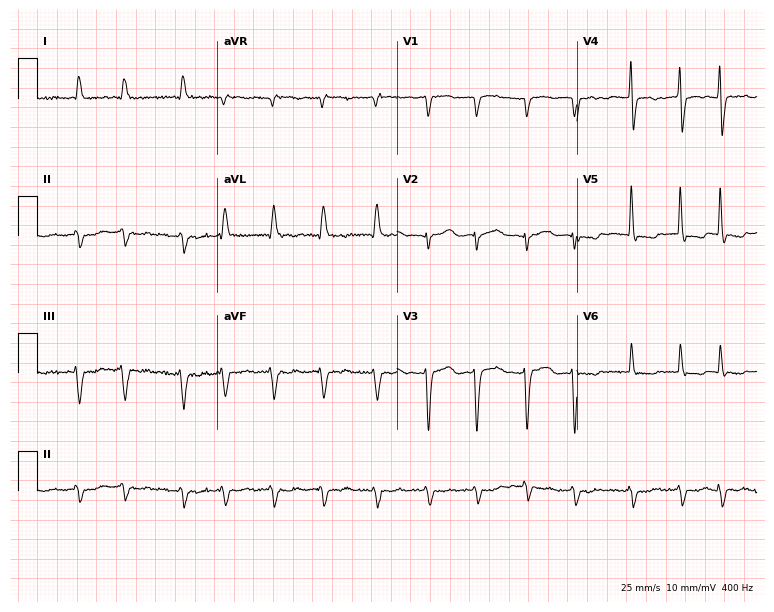
Resting 12-lead electrocardiogram. Patient: an 85-year-old male. The tracing shows atrial fibrillation.